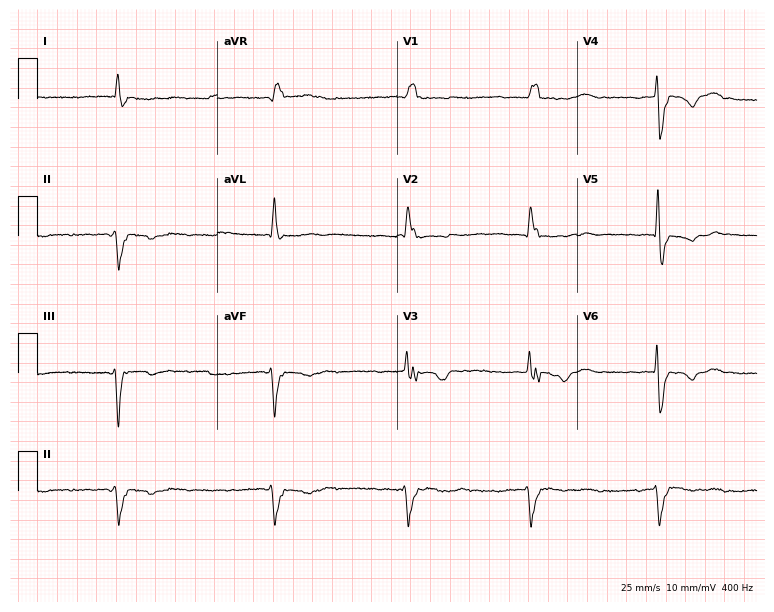
Standard 12-lead ECG recorded from a 77-year-old male patient. The tracing shows right bundle branch block (RBBB).